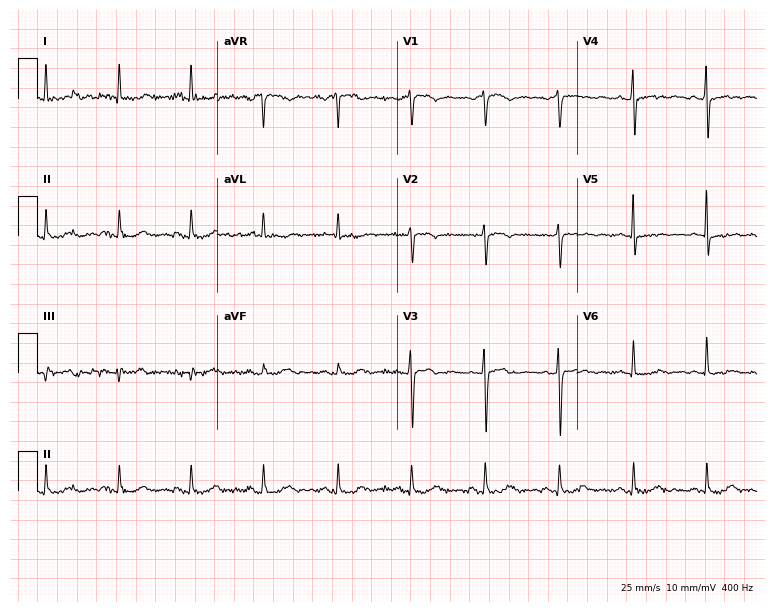
12-lead ECG from a 64-year-old woman. Screened for six findings — first-degree AV block, right bundle branch block, left bundle branch block, sinus bradycardia, atrial fibrillation, sinus tachycardia — none is recorded. Findings outside these six are not listed.